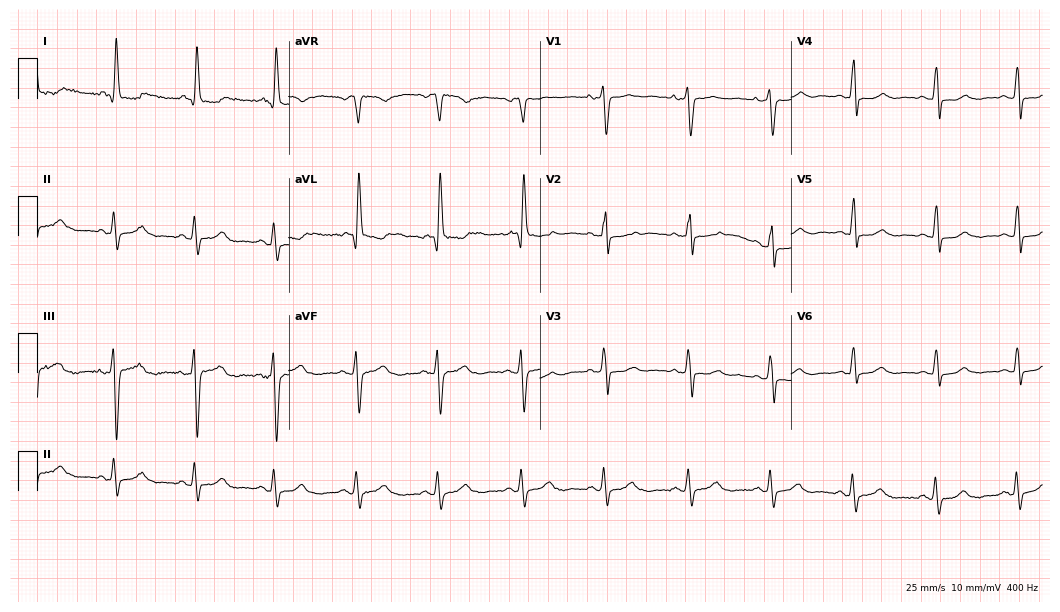
Standard 12-lead ECG recorded from a 69-year-old woman. None of these six findings is recorded: first-degree AV block, right bundle branch block (RBBB), left bundle branch block (LBBB), sinus bradycardia, atrial fibrillation (AF), sinus tachycardia. Only these six findings were labelled.